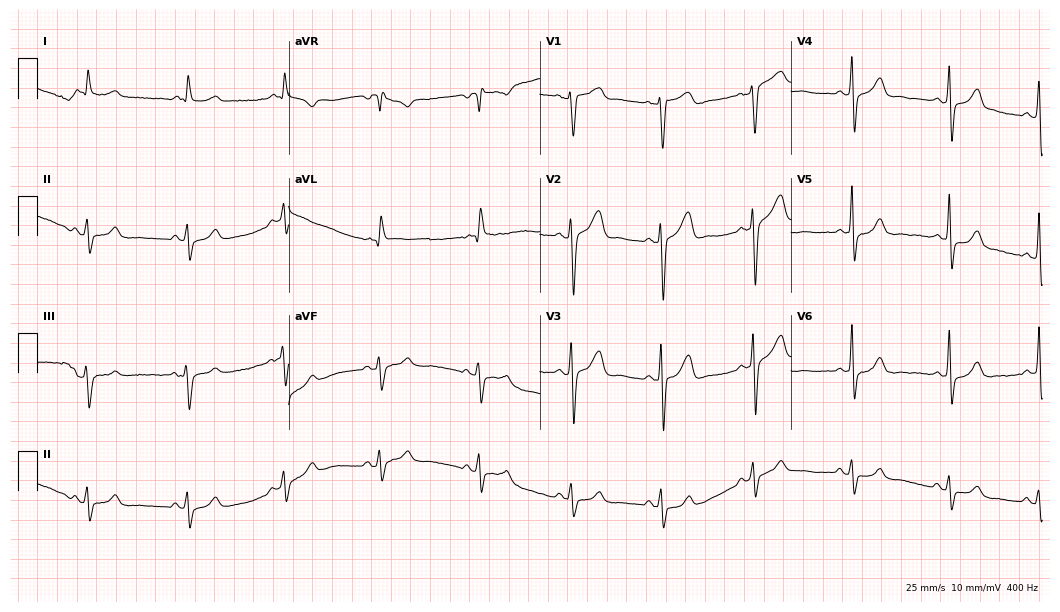
Electrocardiogram, a male patient, 70 years old. Of the six screened findings (first-degree AV block, right bundle branch block, left bundle branch block, sinus bradycardia, atrial fibrillation, sinus tachycardia), none is recorded. Only these six findings were labelled.